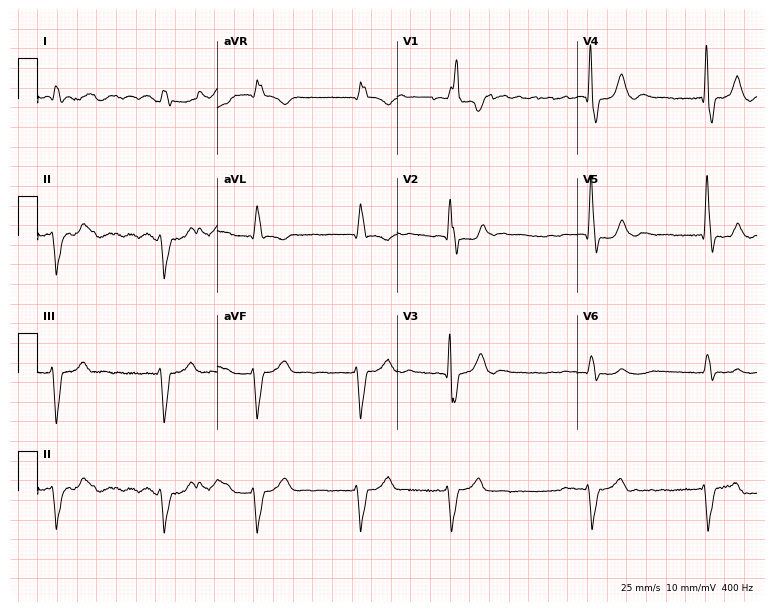
12-lead ECG from a male patient, 80 years old. Shows right bundle branch block, atrial fibrillation.